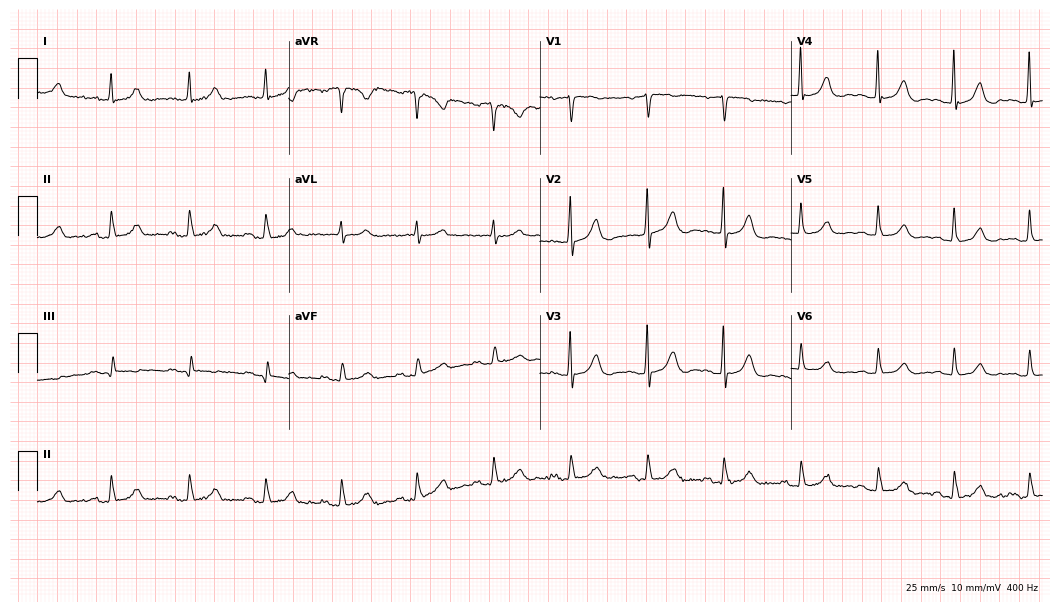
Resting 12-lead electrocardiogram (10.2-second recording at 400 Hz). Patient: a woman, 81 years old. None of these six findings is recorded: first-degree AV block, right bundle branch block (RBBB), left bundle branch block (LBBB), sinus bradycardia, atrial fibrillation (AF), sinus tachycardia.